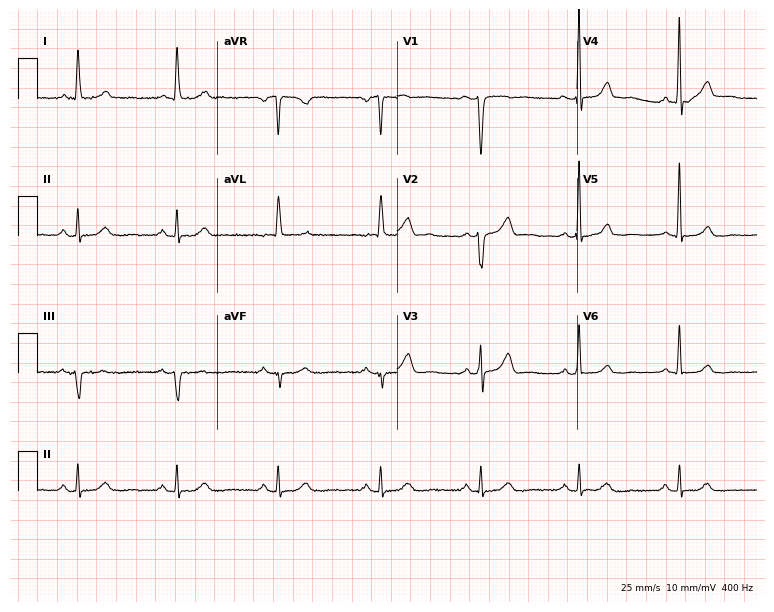
12-lead ECG from a female patient, 49 years old. Screened for six findings — first-degree AV block, right bundle branch block (RBBB), left bundle branch block (LBBB), sinus bradycardia, atrial fibrillation (AF), sinus tachycardia — none is recorded. Findings outside these six are not listed.